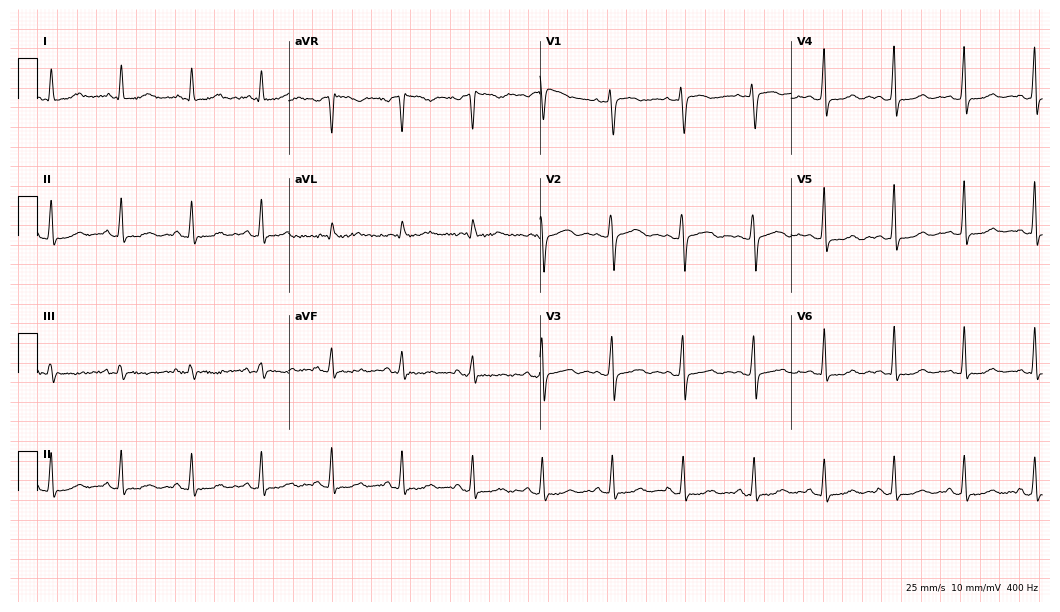
ECG — a 54-year-old female patient. Screened for six findings — first-degree AV block, right bundle branch block, left bundle branch block, sinus bradycardia, atrial fibrillation, sinus tachycardia — none is recorded. Other findings, if any, are not listed.